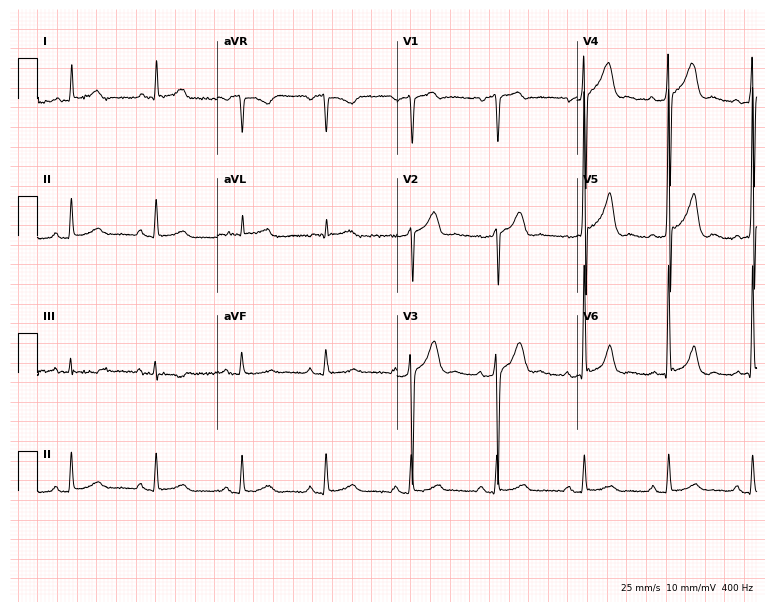
ECG — a male patient, 79 years old. Labelled as a normal ECG.